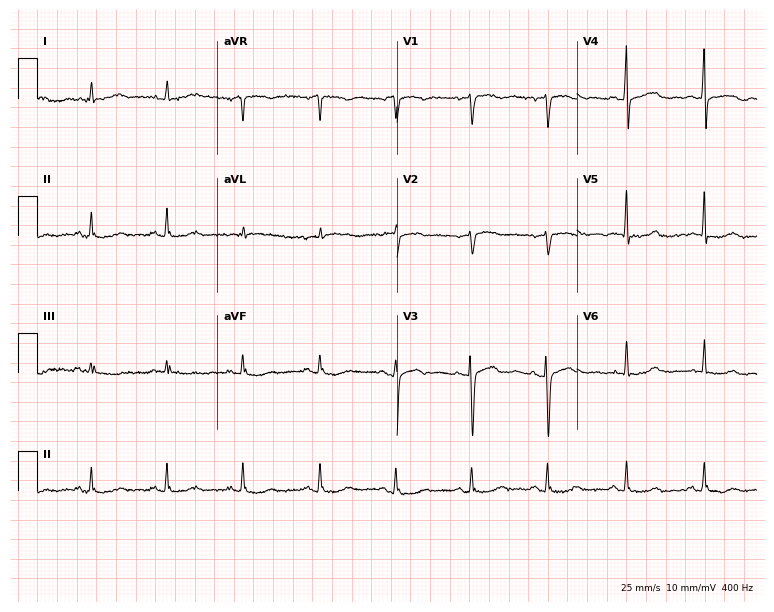
12-lead ECG (7.3-second recording at 400 Hz) from a female, 77 years old. Screened for six findings — first-degree AV block, right bundle branch block (RBBB), left bundle branch block (LBBB), sinus bradycardia, atrial fibrillation (AF), sinus tachycardia — none is recorded. Other findings, if any, are not listed.